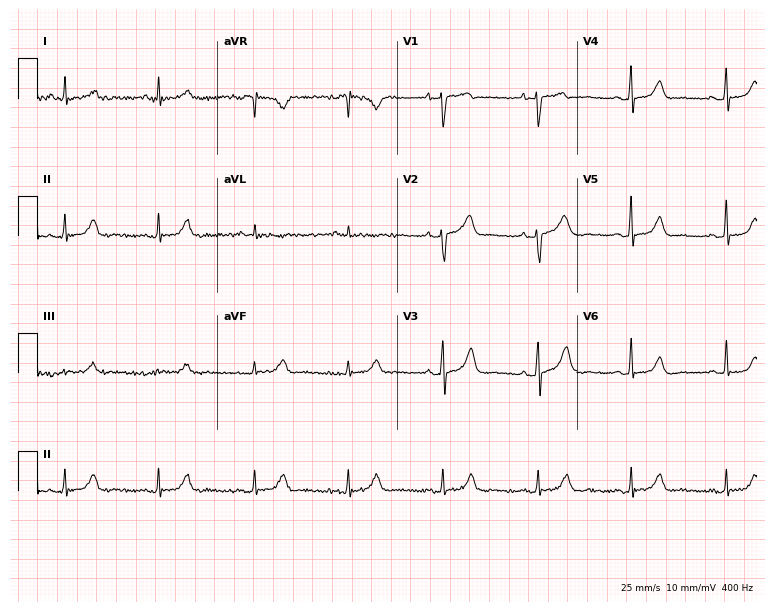
Electrocardiogram, a female, 65 years old. Overall reading on record: normal ECG.